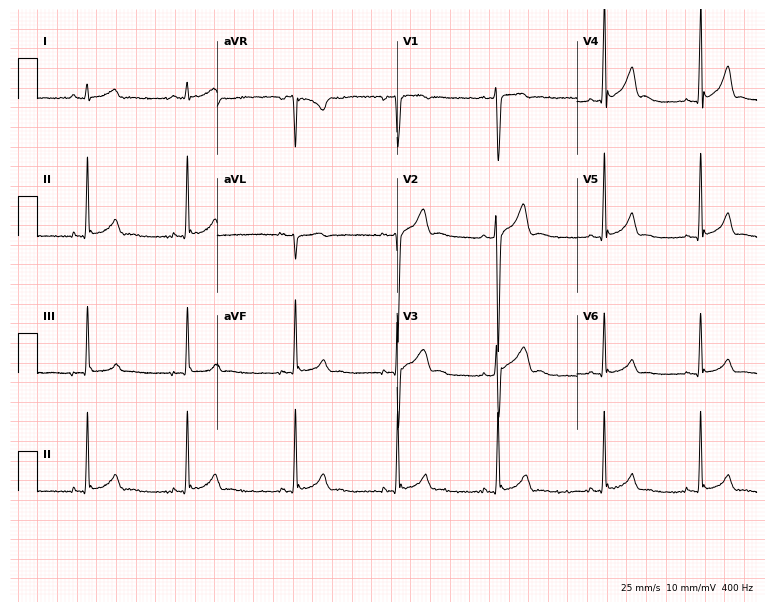
Standard 12-lead ECG recorded from an 18-year-old man (7.3-second recording at 400 Hz). Read as a normal ECG.